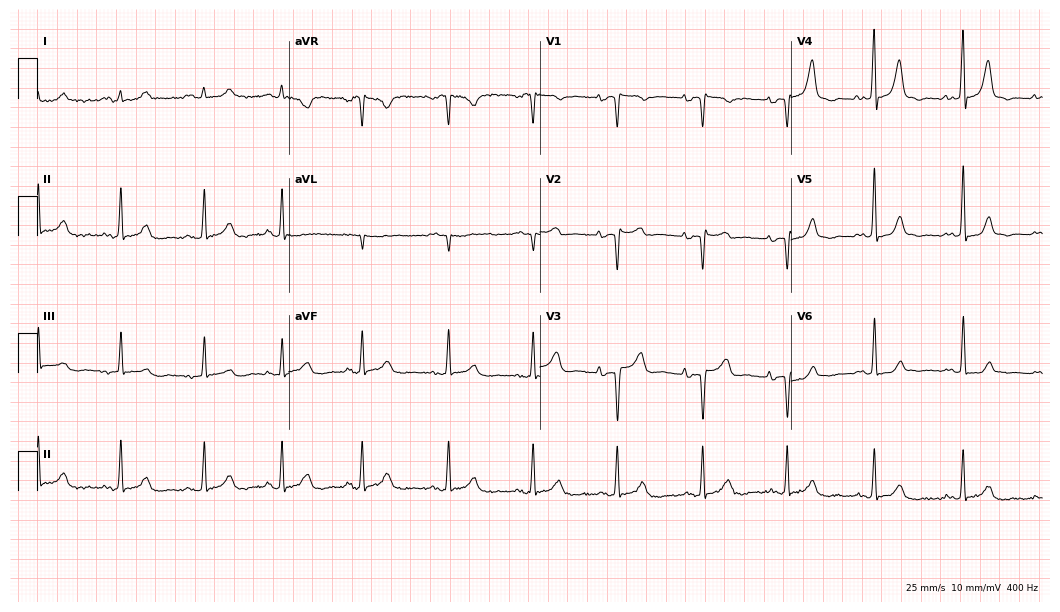
12-lead ECG from a female patient, 47 years old. No first-degree AV block, right bundle branch block, left bundle branch block, sinus bradycardia, atrial fibrillation or sinus tachycardia recorded for this tracing. Findings outside these six are not listed.